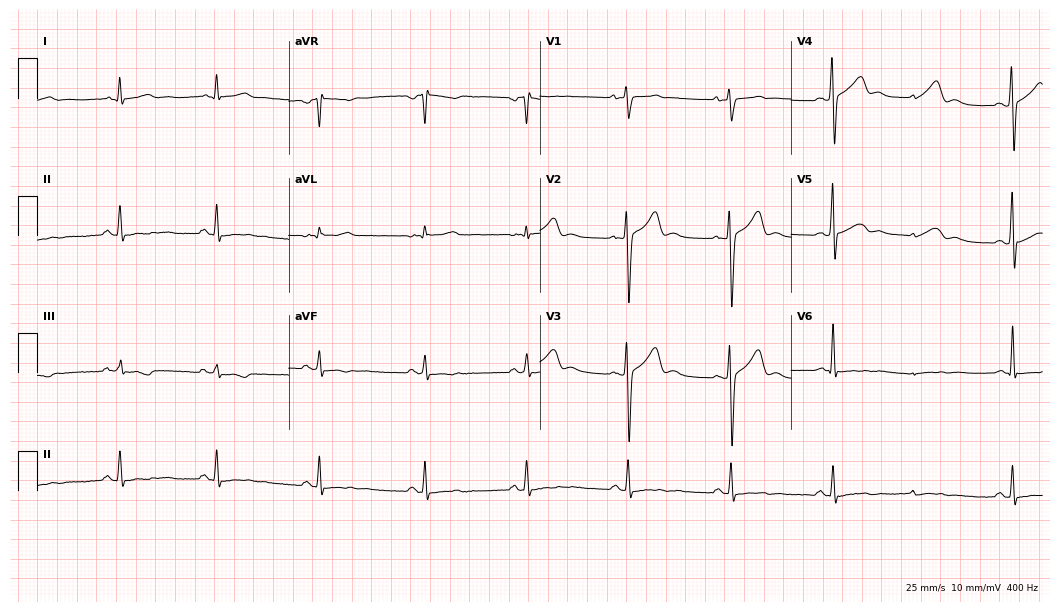
Resting 12-lead electrocardiogram (10.2-second recording at 400 Hz). Patient: a male, 30 years old. Read as a normal ECG.